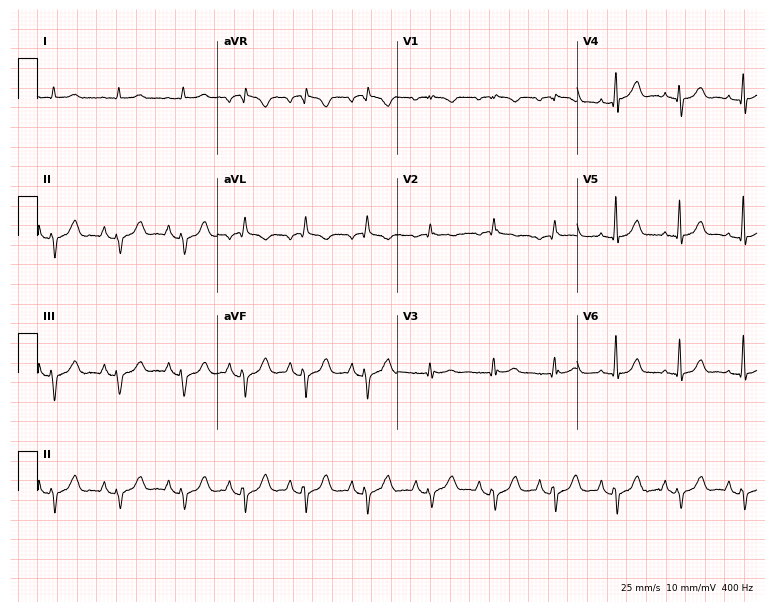
Electrocardiogram, a man, 81 years old. Of the six screened findings (first-degree AV block, right bundle branch block (RBBB), left bundle branch block (LBBB), sinus bradycardia, atrial fibrillation (AF), sinus tachycardia), none is recorded. Other findings, if any, are not listed.